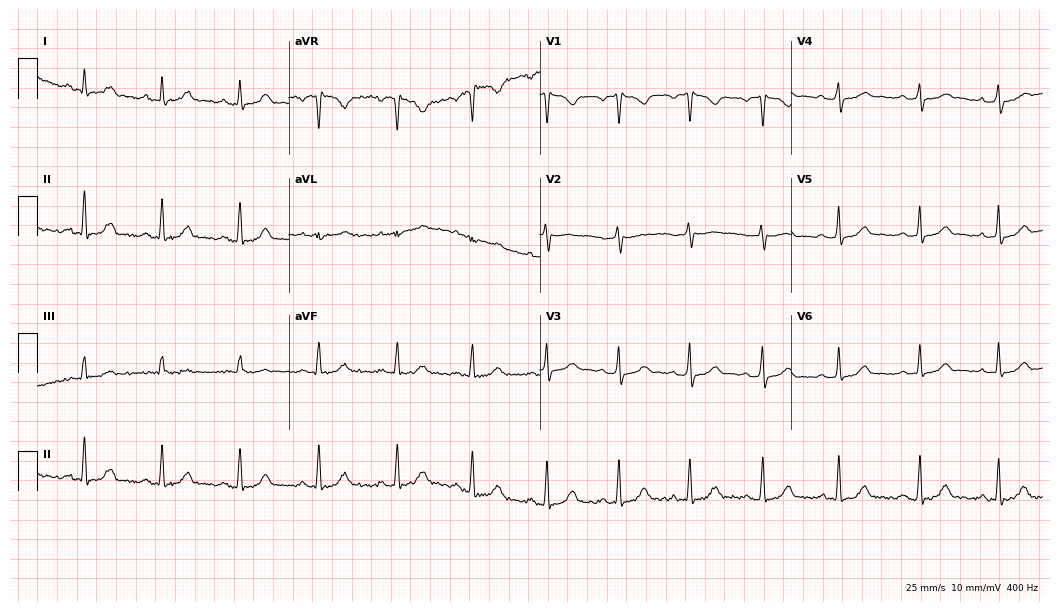
ECG — a 34-year-old woman. Labelled as a normal ECG.